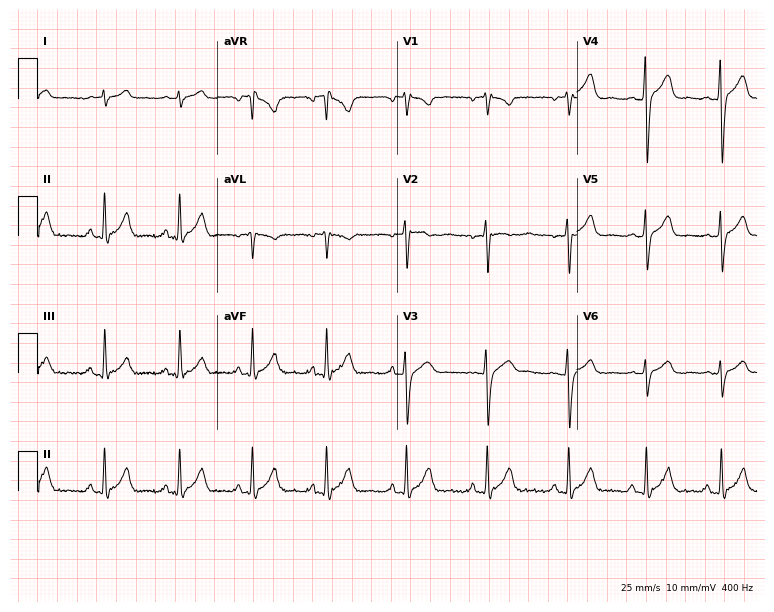
12-lead ECG from a 23-year-old male patient (7.3-second recording at 400 Hz). No first-degree AV block, right bundle branch block (RBBB), left bundle branch block (LBBB), sinus bradycardia, atrial fibrillation (AF) or sinus tachycardia recorded for this tracing.